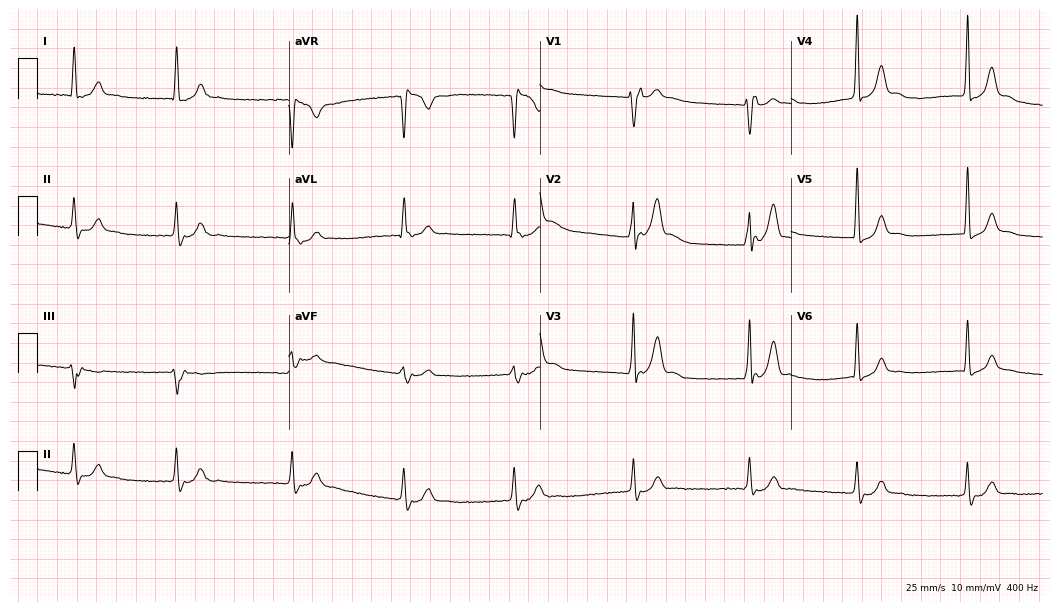
Resting 12-lead electrocardiogram (10.2-second recording at 400 Hz). Patient: a 36-year-old male. None of these six findings is recorded: first-degree AV block, right bundle branch block (RBBB), left bundle branch block (LBBB), sinus bradycardia, atrial fibrillation (AF), sinus tachycardia. Only these six findings were labelled.